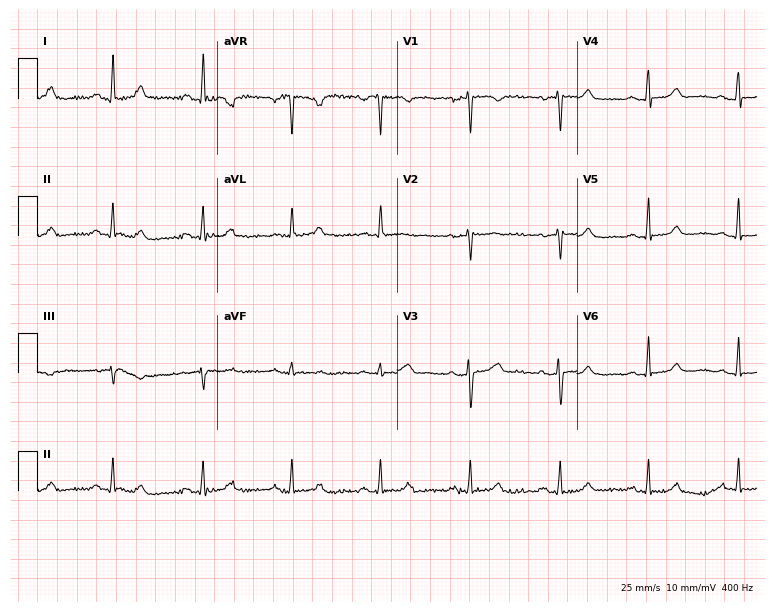
Electrocardiogram (7.3-second recording at 400 Hz), a 68-year-old female. Overall reading on record: normal ECG.